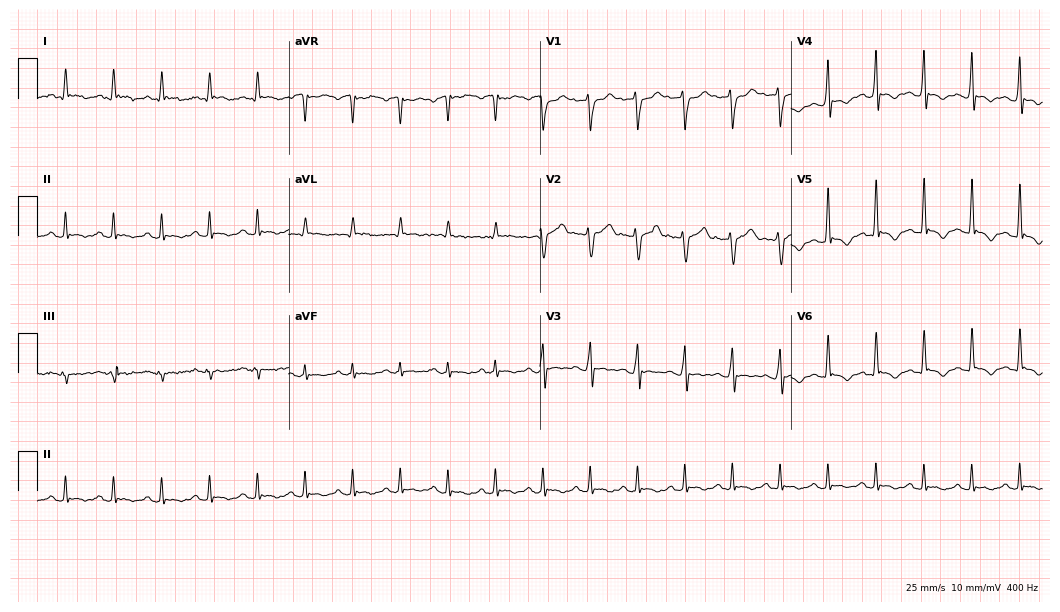
12-lead ECG (10.2-second recording at 400 Hz) from a 30-year-old man. Findings include sinus tachycardia (a sinus rate of 100 beats per minute or more).